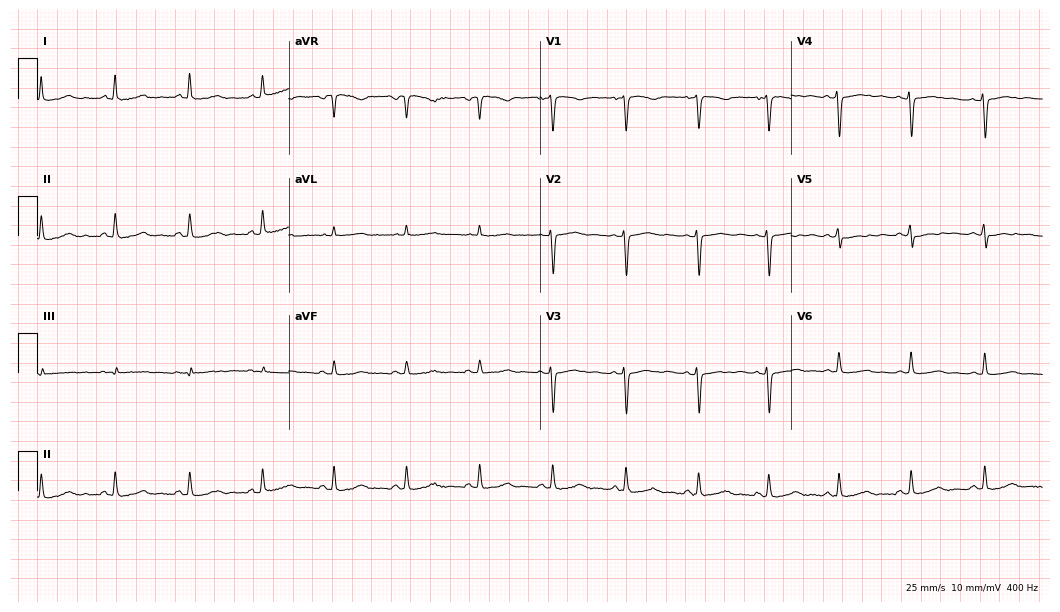
Electrocardiogram, a 52-year-old female. Of the six screened findings (first-degree AV block, right bundle branch block, left bundle branch block, sinus bradycardia, atrial fibrillation, sinus tachycardia), none is recorded. Findings outside these six are not listed.